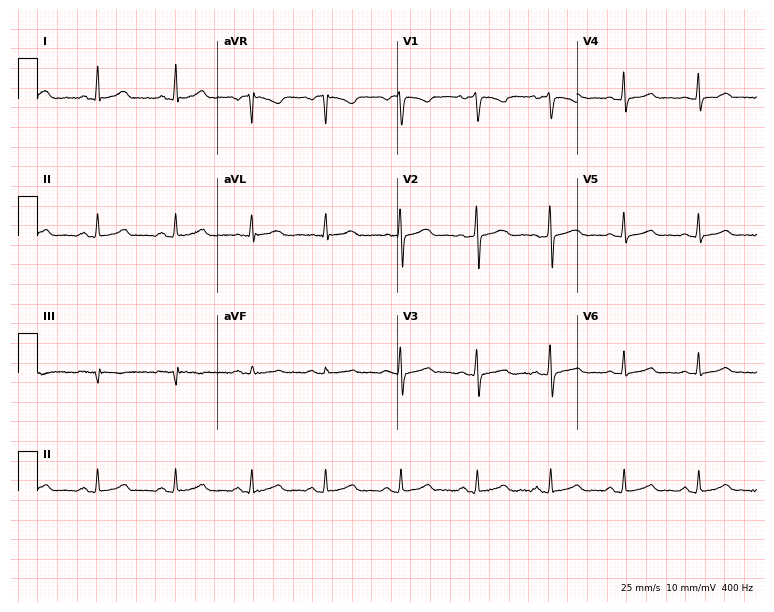
Resting 12-lead electrocardiogram. Patient: a female, 43 years old. Read as a normal ECG.